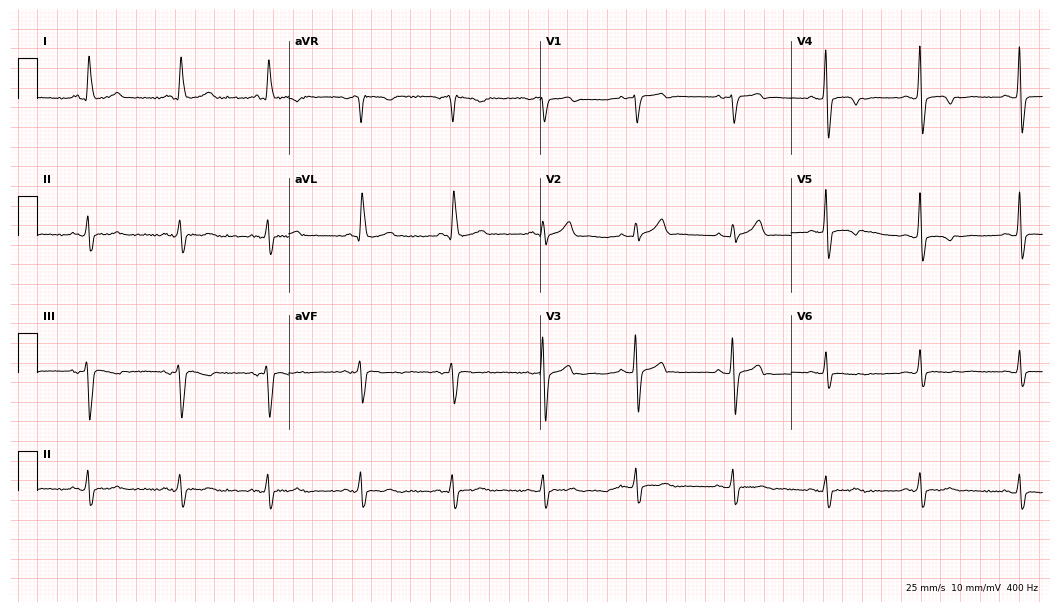
12-lead ECG from a 77-year-old woman (10.2-second recording at 400 Hz). No first-degree AV block, right bundle branch block, left bundle branch block, sinus bradycardia, atrial fibrillation or sinus tachycardia recorded for this tracing. Other findings, if any, are not listed.